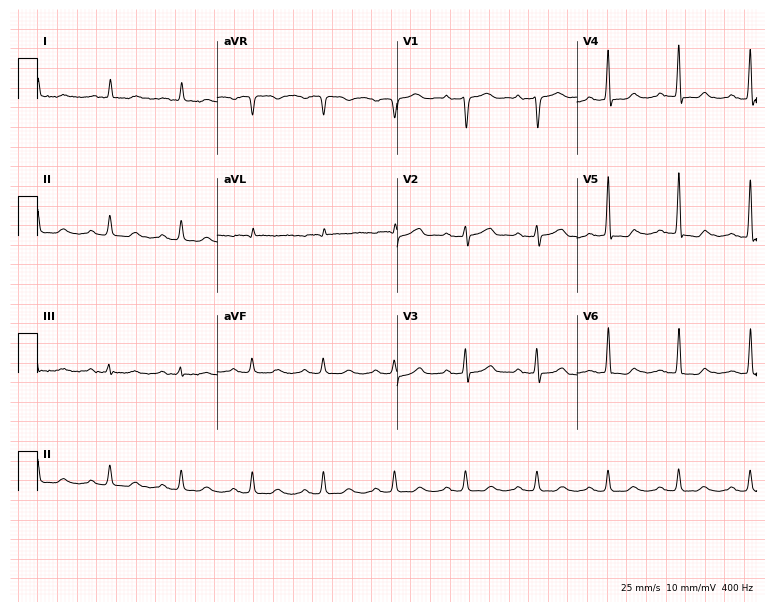
12-lead ECG from an 81-year-old male patient (7.3-second recording at 400 Hz). No first-degree AV block, right bundle branch block, left bundle branch block, sinus bradycardia, atrial fibrillation or sinus tachycardia recorded for this tracing.